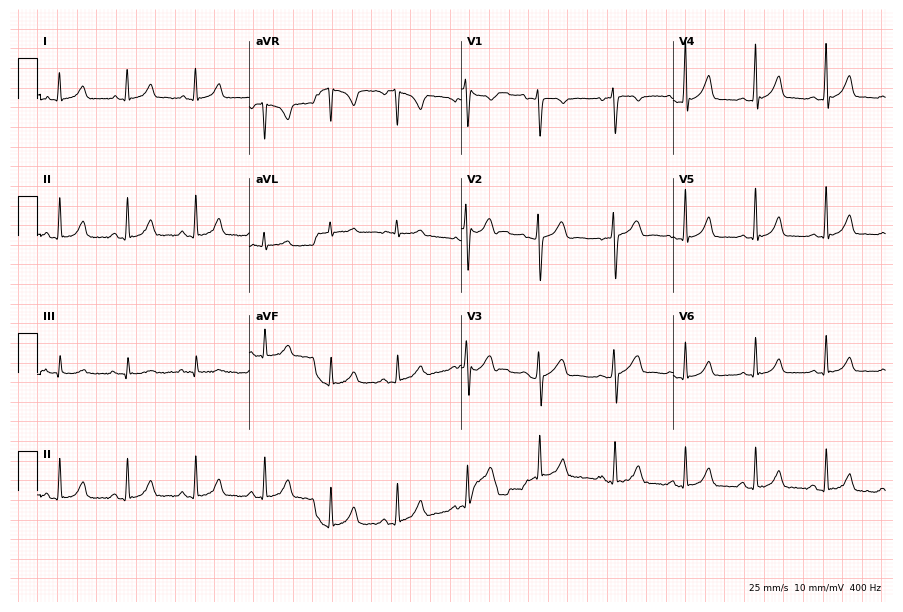
Resting 12-lead electrocardiogram (8.6-second recording at 400 Hz). Patient: a 20-year-old woman. Read as a normal ECG.